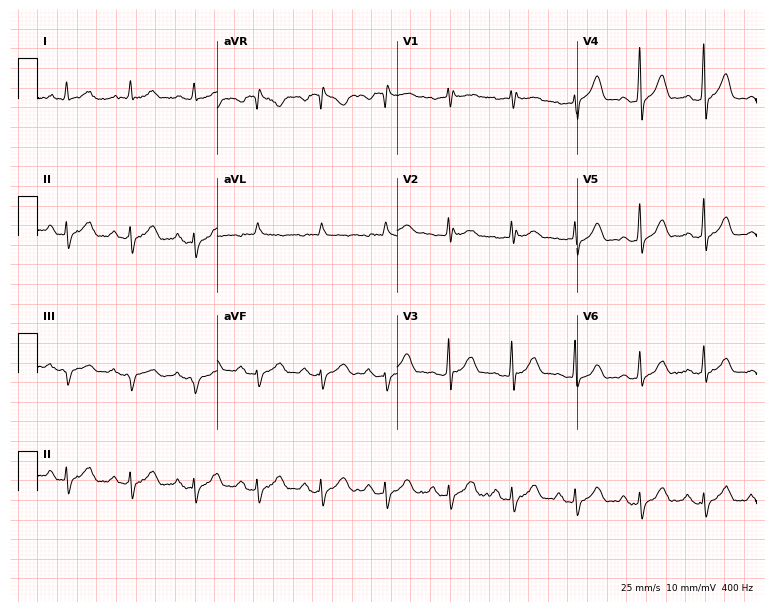
12-lead ECG (7.3-second recording at 400 Hz) from a 68-year-old male. Screened for six findings — first-degree AV block, right bundle branch block, left bundle branch block, sinus bradycardia, atrial fibrillation, sinus tachycardia — none is recorded.